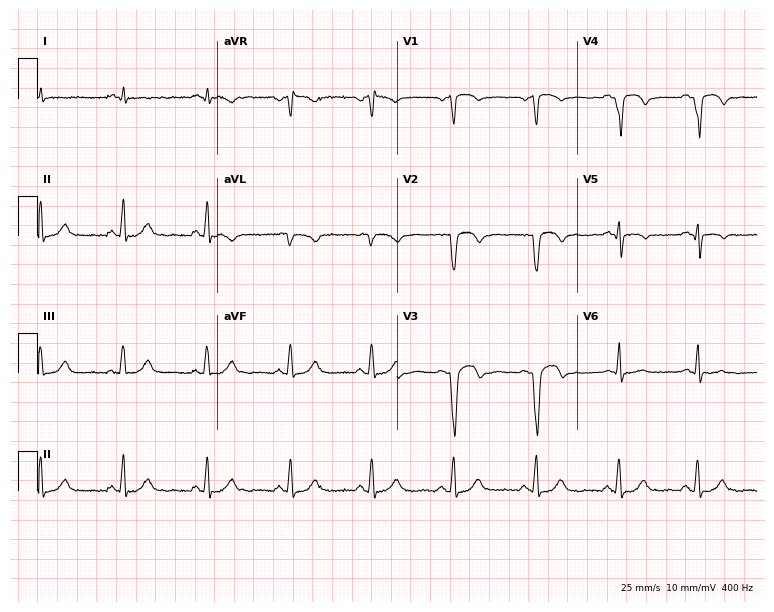
ECG — a man, 53 years old. Screened for six findings — first-degree AV block, right bundle branch block (RBBB), left bundle branch block (LBBB), sinus bradycardia, atrial fibrillation (AF), sinus tachycardia — none is recorded.